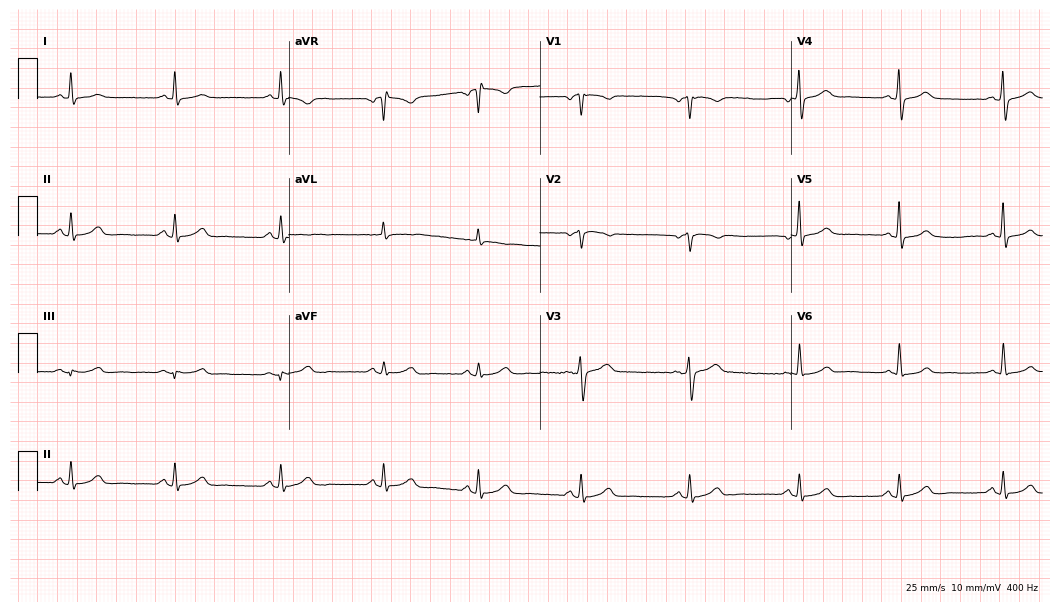
ECG (10.2-second recording at 400 Hz) — a woman, 47 years old. Labelled as a normal ECG.